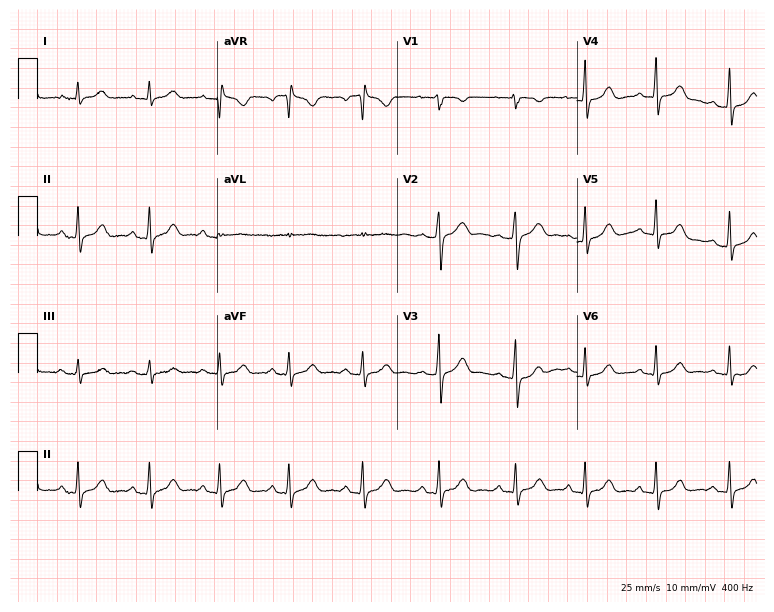
Electrocardiogram, a woman, 25 years old. Overall reading on record: normal ECG.